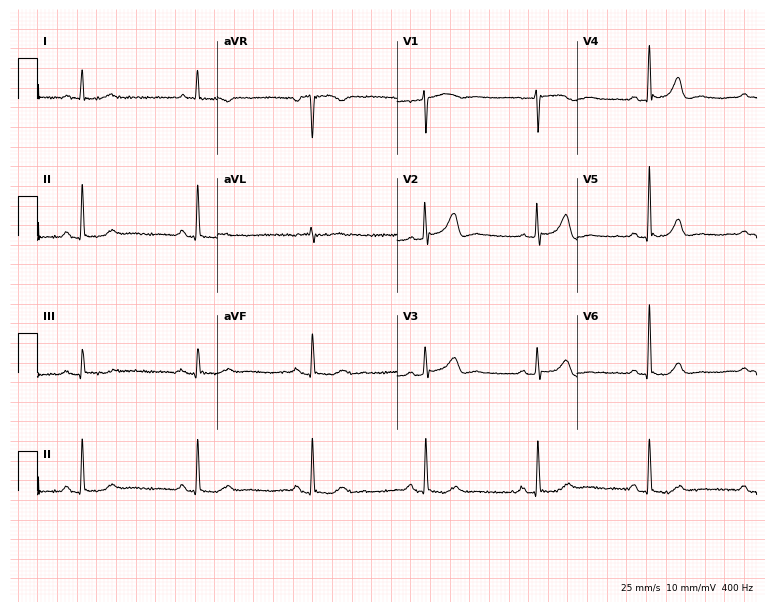
Electrocardiogram, a female patient, 64 years old. Of the six screened findings (first-degree AV block, right bundle branch block, left bundle branch block, sinus bradycardia, atrial fibrillation, sinus tachycardia), none is recorded.